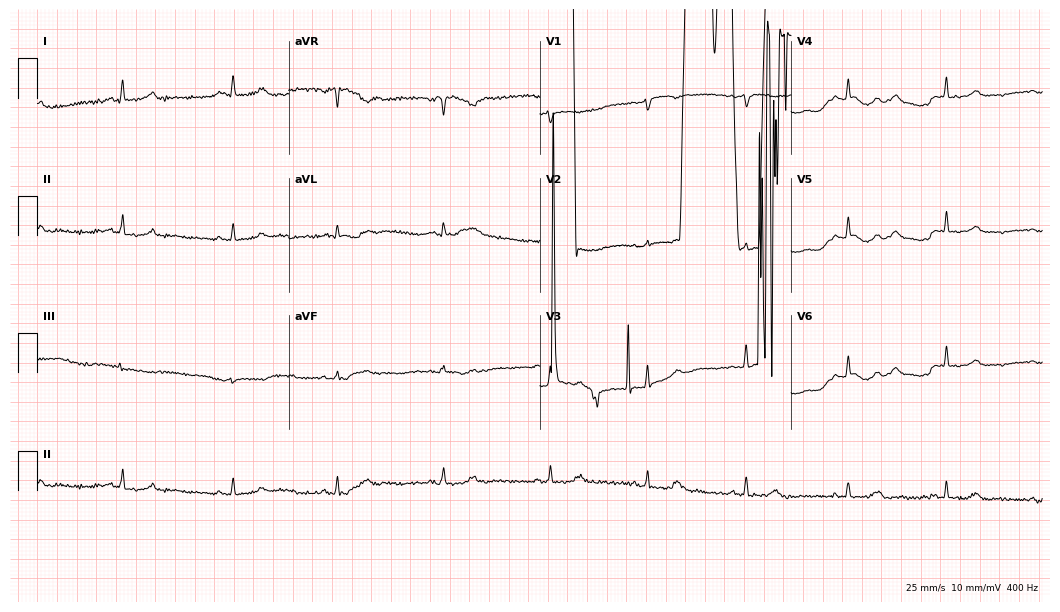
Standard 12-lead ECG recorded from a 32-year-old woman (10.2-second recording at 400 Hz). None of these six findings is recorded: first-degree AV block, right bundle branch block, left bundle branch block, sinus bradycardia, atrial fibrillation, sinus tachycardia. Other findings, if any, are not listed.